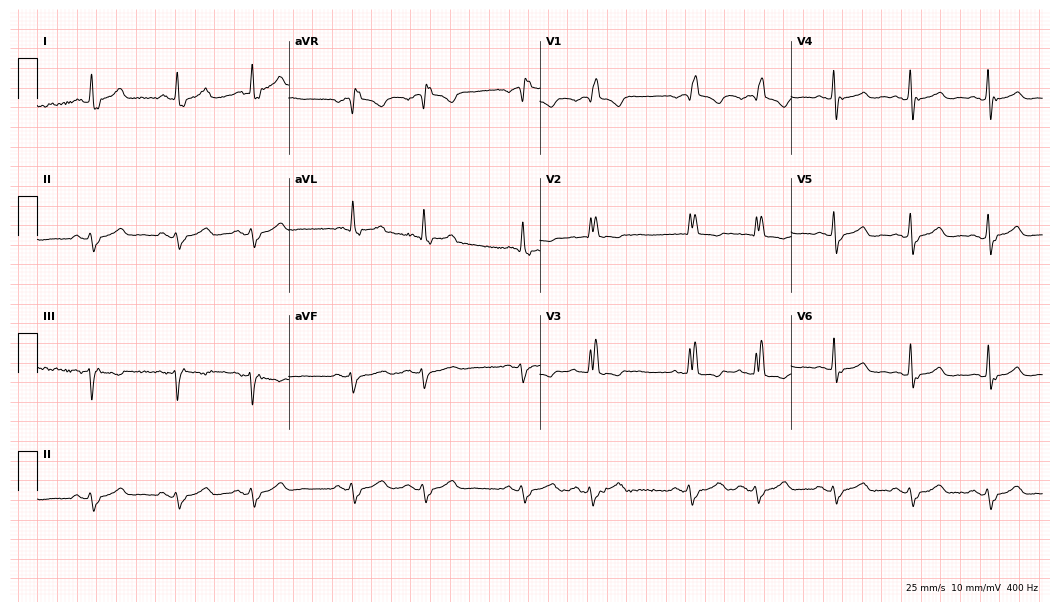
Resting 12-lead electrocardiogram. Patient: a woman, 83 years old. The tracing shows right bundle branch block (RBBB).